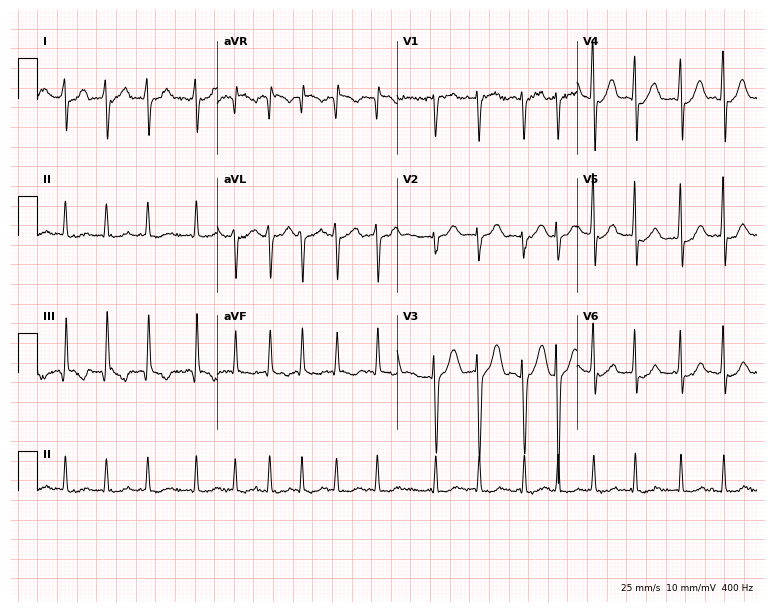
12-lead ECG from a man, 78 years old. Shows atrial fibrillation, sinus tachycardia (a sinus rate of 100 beats per minute or more).